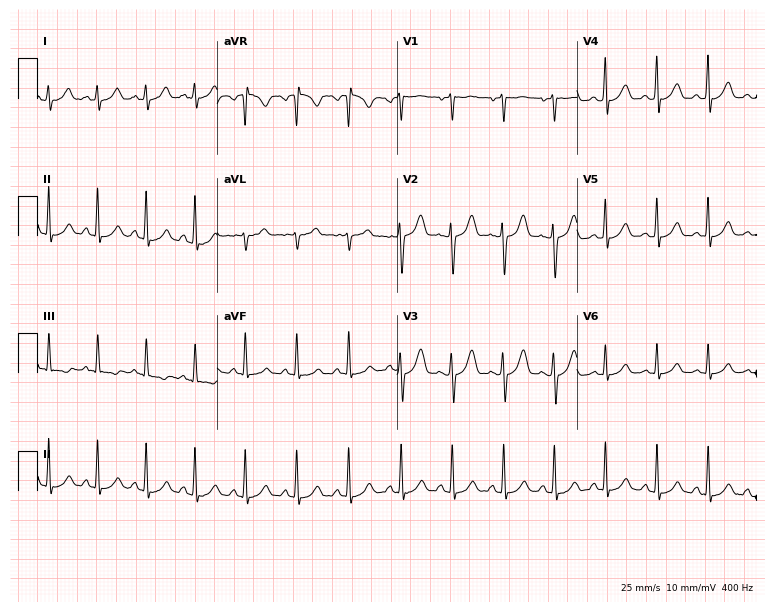
Electrocardiogram, a 22-year-old female patient. Interpretation includes sinus tachycardia (a sinus rate of 100 beats per minute or more).